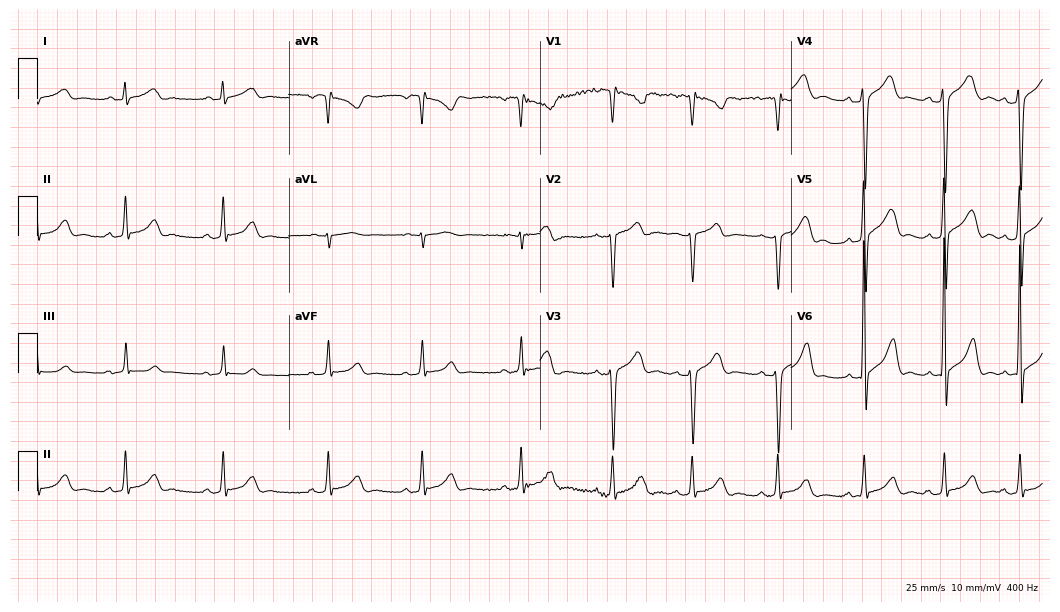
Resting 12-lead electrocardiogram (10.2-second recording at 400 Hz). Patient: a male, 18 years old. Read as a normal ECG.